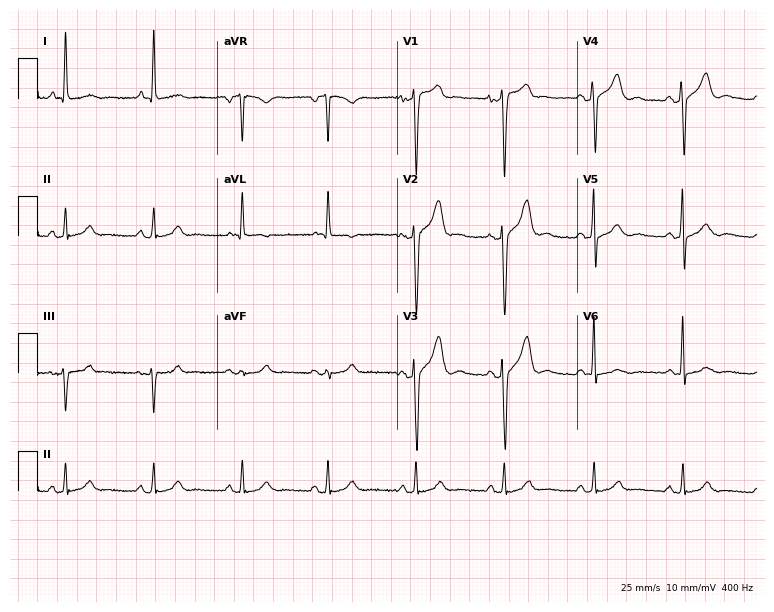
Resting 12-lead electrocardiogram (7.3-second recording at 400 Hz). Patient: a female, 68 years old. Read as a normal ECG.